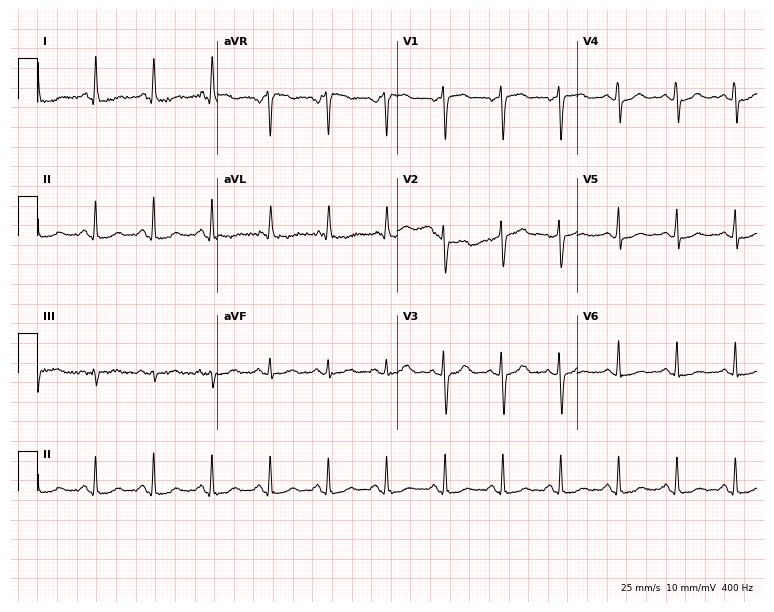
12-lead ECG from a female, 51 years old. Recorded interpretation: within normal limits.